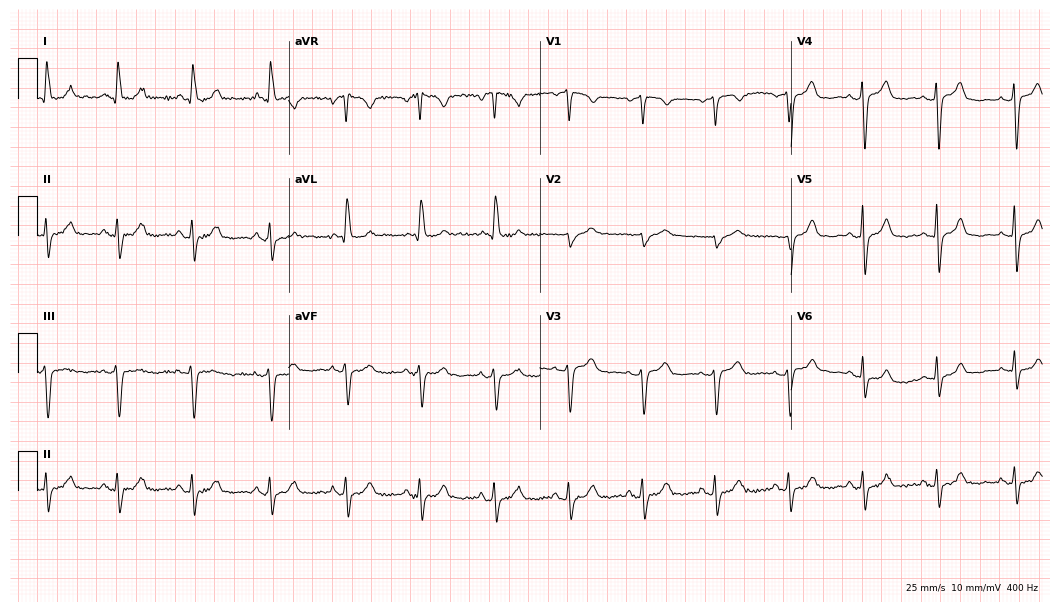
Electrocardiogram (10.2-second recording at 400 Hz), a 71-year-old woman. Of the six screened findings (first-degree AV block, right bundle branch block, left bundle branch block, sinus bradycardia, atrial fibrillation, sinus tachycardia), none is recorded. Findings outside these six are not listed.